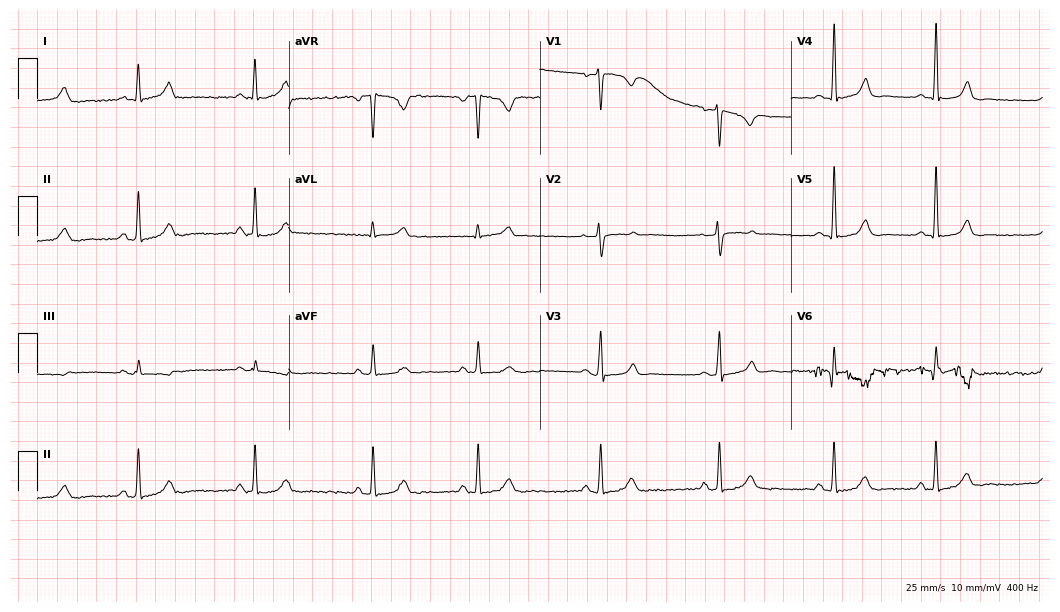
ECG — a female, 34 years old. Labelled as a normal ECG.